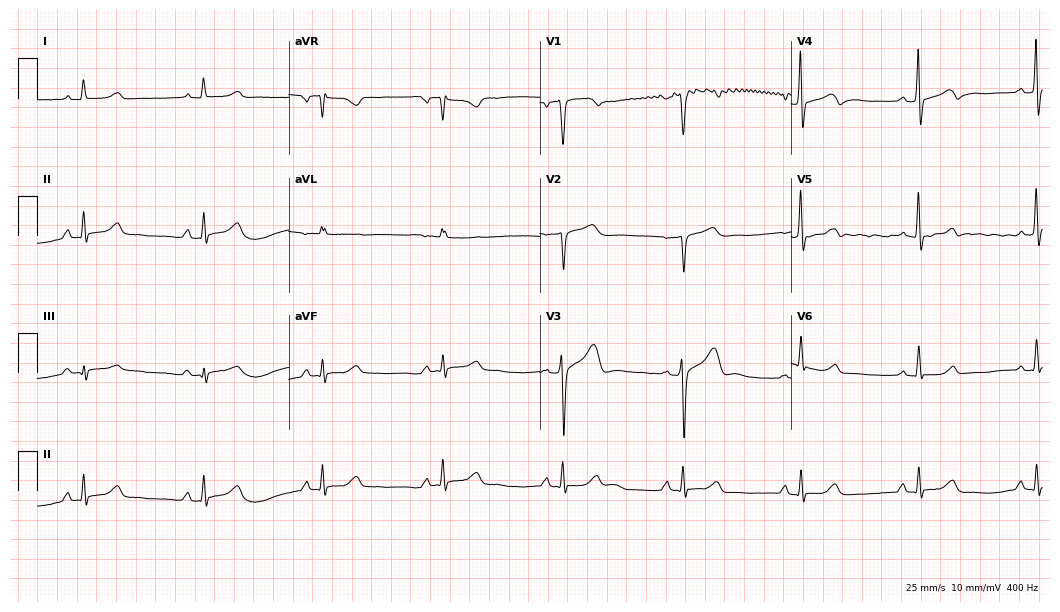
12-lead ECG from a 57-year-old male patient. Screened for six findings — first-degree AV block, right bundle branch block, left bundle branch block, sinus bradycardia, atrial fibrillation, sinus tachycardia — none is recorded.